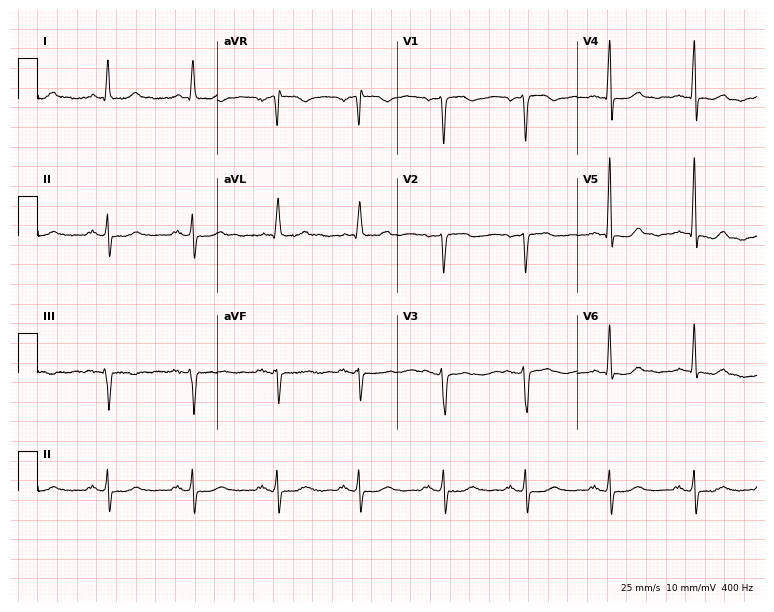
Resting 12-lead electrocardiogram. Patient: a 64-year-old female. None of these six findings is recorded: first-degree AV block, right bundle branch block (RBBB), left bundle branch block (LBBB), sinus bradycardia, atrial fibrillation (AF), sinus tachycardia. Other findings, if any, are not listed.